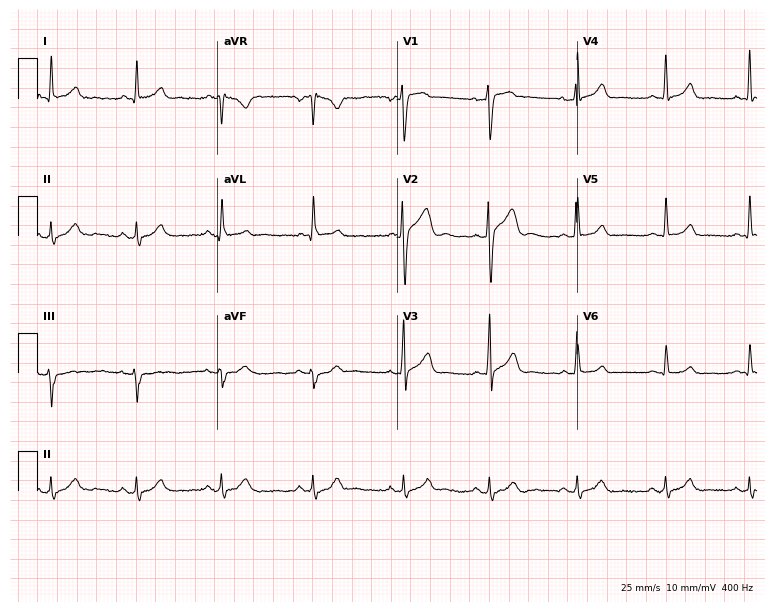
ECG — a male patient, 26 years old. Screened for six findings — first-degree AV block, right bundle branch block, left bundle branch block, sinus bradycardia, atrial fibrillation, sinus tachycardia — none is recorded.